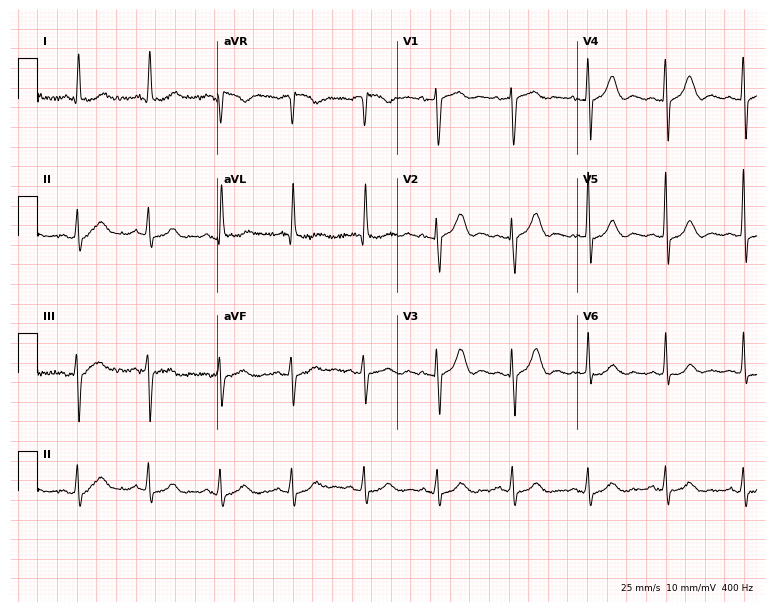
ECG (7.3-second recording at 400 Hz) — a female patient, 80 years old. Screened for six findings — first-degree AV block, right bundle branch block, left bundle branch block, sinus bradycardia, atrial fibrillation, sinus tachycardia — none is recorded.